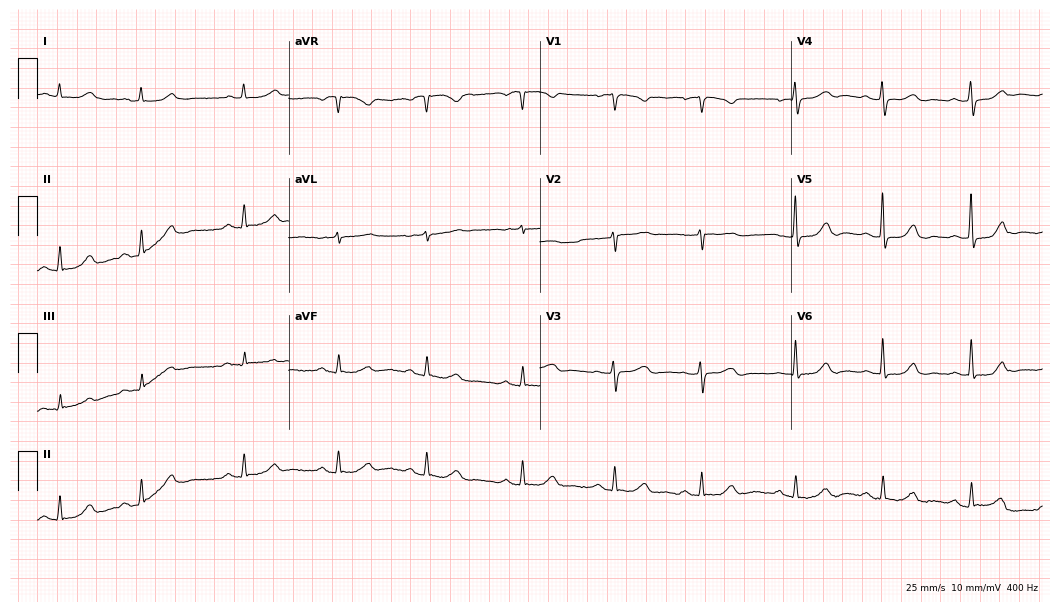
12-lead ECG from a 68-year-old woman (10.2-second recording at 400 Hz). No first-degree AV block, right bundle branch block (RBBB), left bundle branch block (LBBB), sinus bradycardia, atrial fibrillation (AF) or sinus tachycardia recorded for this tracing. Other findings, if any, are not listed.